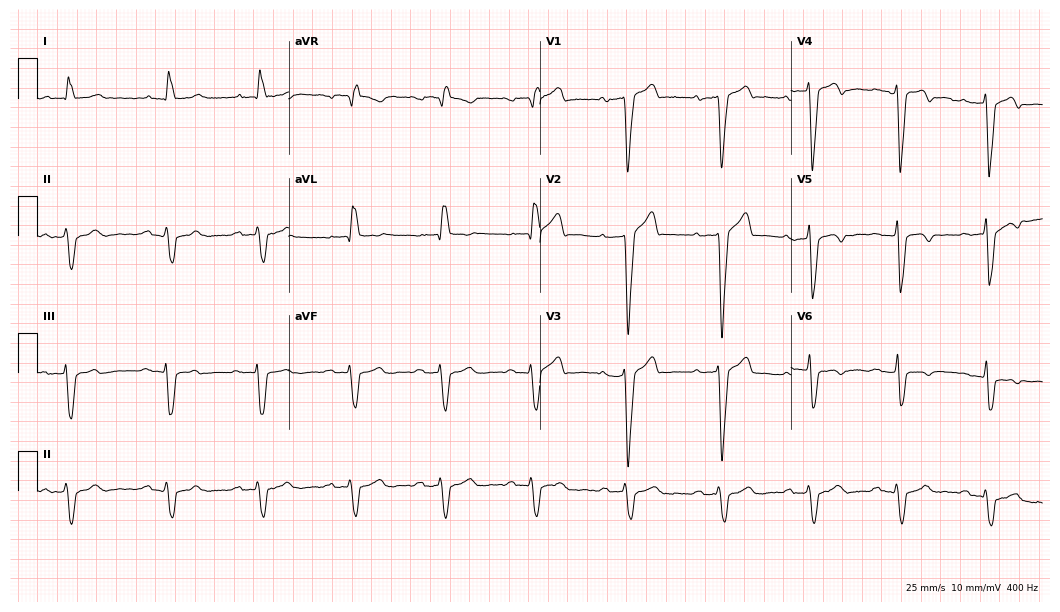
Resting 12-lead electrocardiogram (10.2-second recording at 400 Hz). Patient: a male, 65 years old. The tracing shows left bundle branch block.